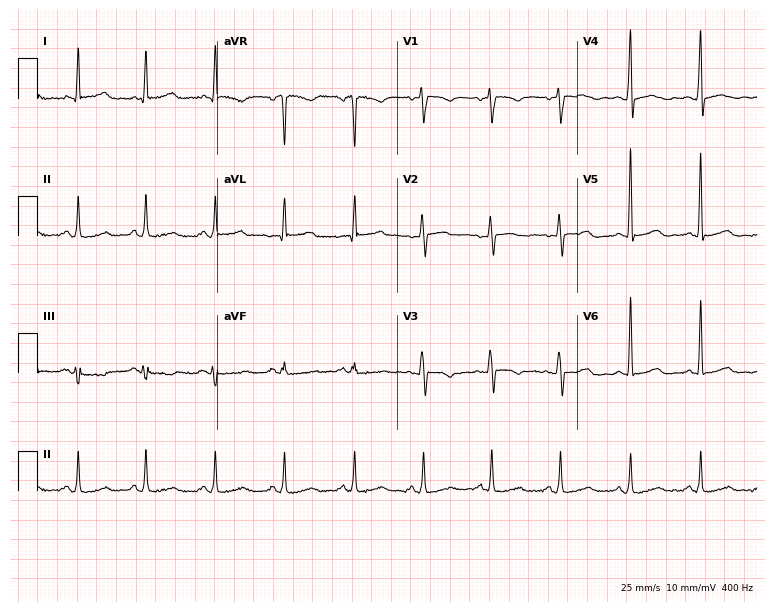
Resting 12-lead electrocardiogram. Patient: a woman, 58 years old. None of these six findings is recorded: first-degree AV block, right bundle branch block (RBBB), left bundle branch block (LBBB), sinus bradycardia, atrial fibrillation (AF), sinus tachycardia.